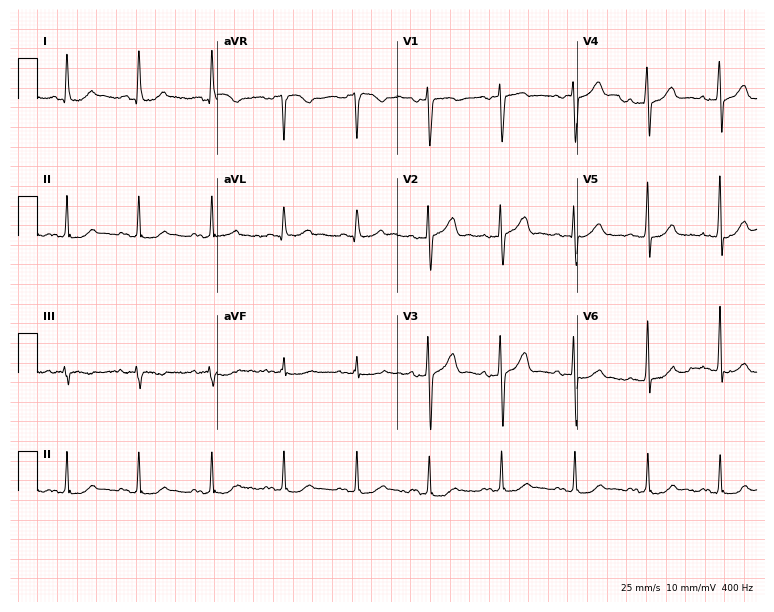
12-lead ECG (7.3-second recording at 400 Hz) from a male, 62 years old. Labelled as a normal ECG.